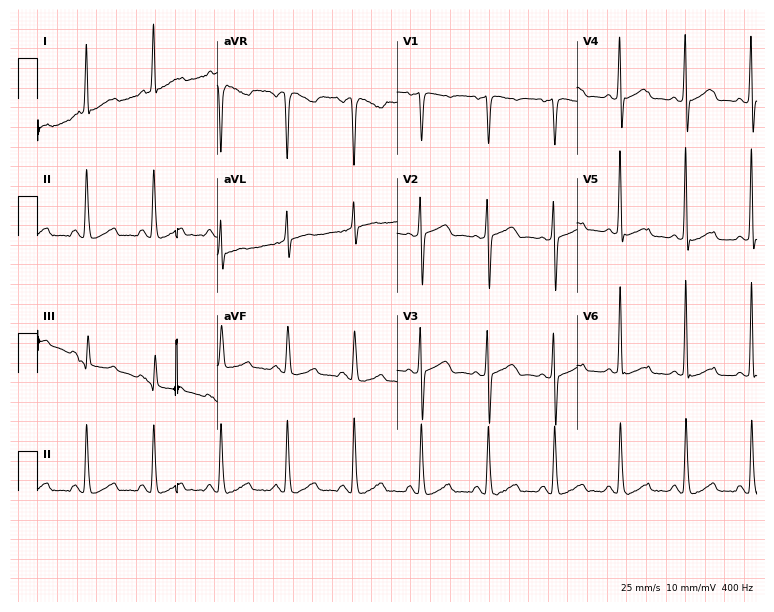
Resting 12-lead electrocardiogram (7.3-second recording at 400 Hz). Patient: a 68-year-old female. None of these six findings is recorded: first-degree AV block, right bundle branch block (RBBB), left bundle branch block (LBBB), sinus bradycardia, atrial fibrillation (AF), sinus tachycardia.